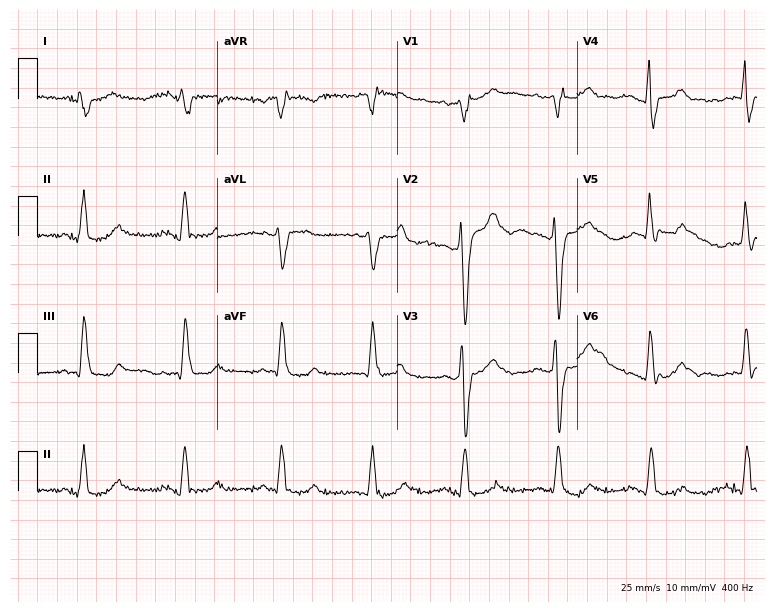
ECG — a male, 66 years old. Screened for six findings — first-degree AV block, right bundle branch block, left bundle branch block, sinus bradycardia, atrial fibrillation, sinus tachycardia — none is recorded.